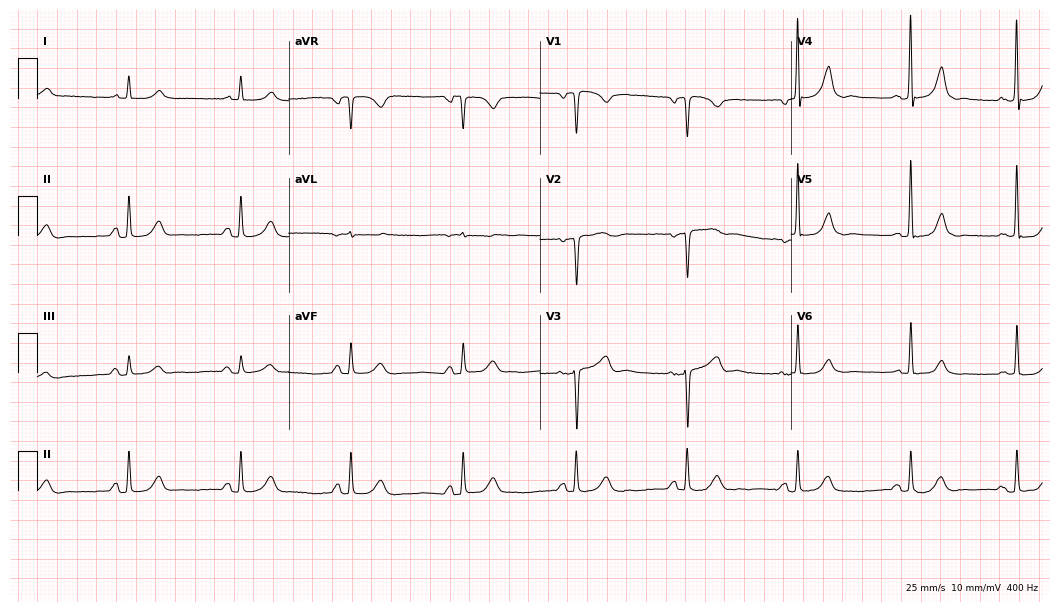
ECG — a male patient, 80 years old. Screened for six findings — first-degree AV block, right bundle branch block, left bundle branch block, sinus bradycardia, atrial fibrillation, sinus tachycardia — none is recorded.